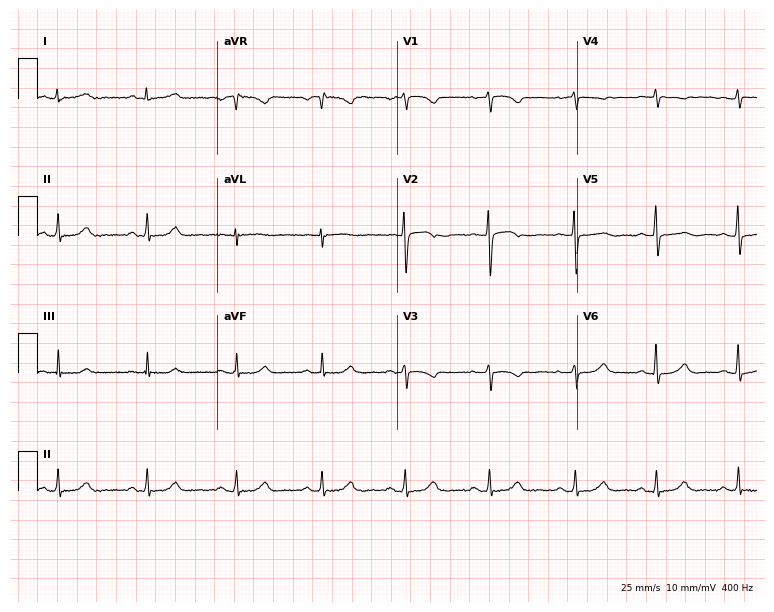
Standard 12-lead ECG recorded from a female, 48 years old. None of these six findings is recorded: first-degree AV block, right bundle branch block (RBBB), left bundle branch block (LBBB), sinus bradycardia, atrial fibrillation (AF), sinus tachycardia.